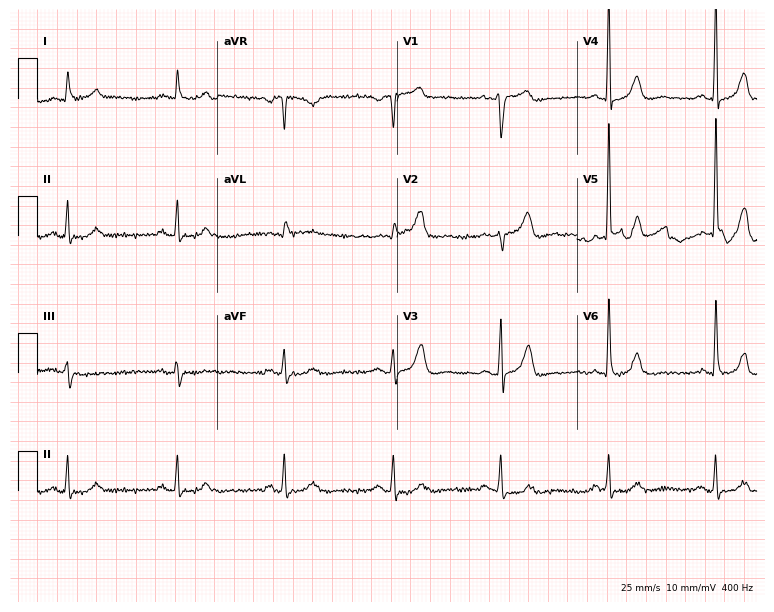
Electrocardiogram, an 80-year-old male patient. Overall reading on record: normal ECG.